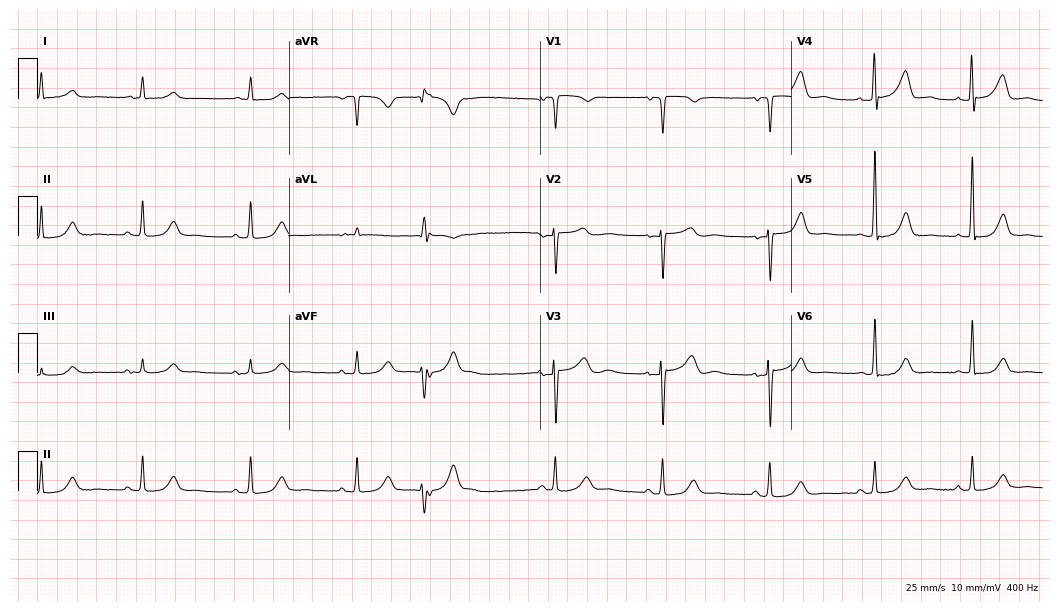
Resting 12-lead electrocardiogram. Patient: a 75-year-old female. None of these six findings is recorded: first-degree AV block, right bundle branch block, left bundle branch block, sinus bradycardia, atrial fibrillation, sinus tachycardia.